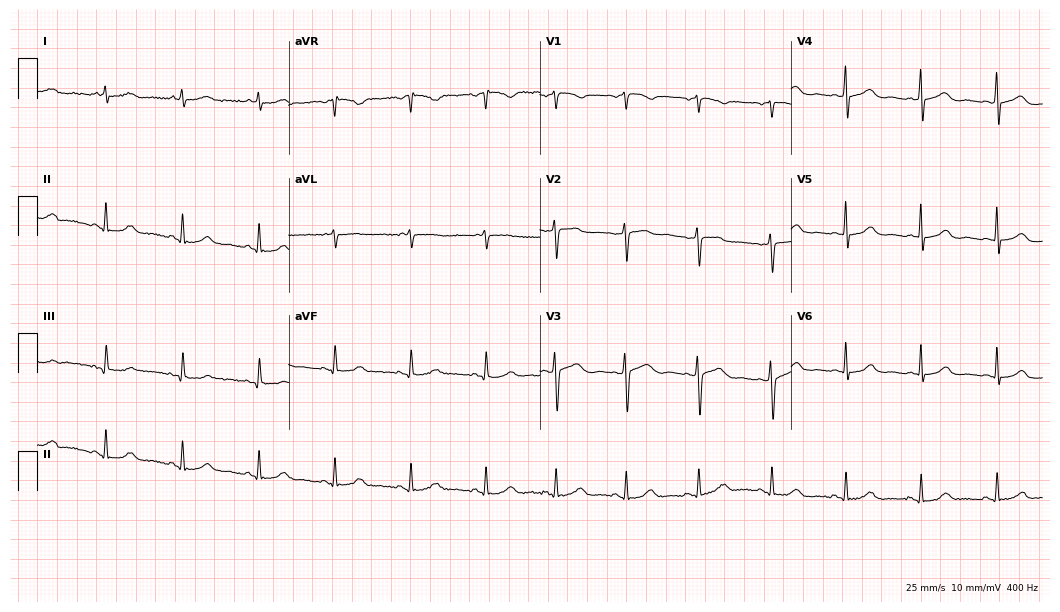
12-lead ECG from a female, 58 years old. Labelled as a normal ECG.